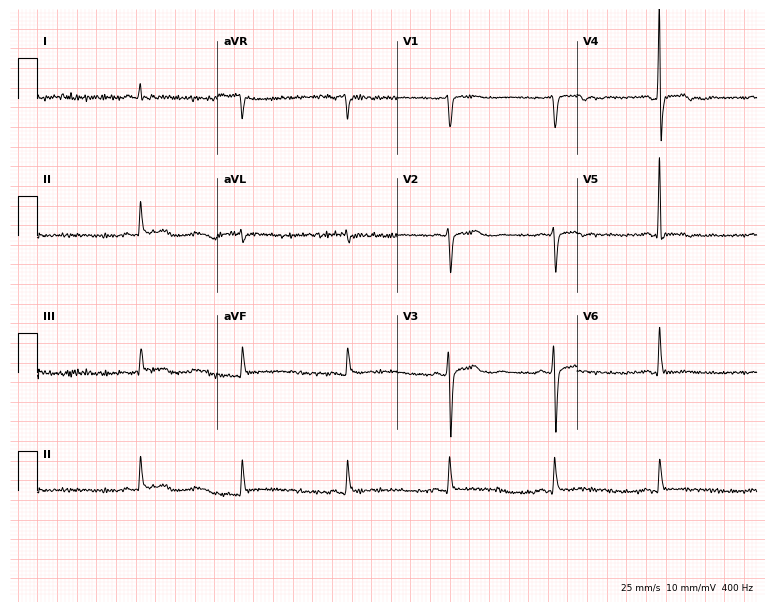
12-lead ECG (7.3-second recording at 400 Hz) from a 61-year-old man. Screened for six findings — first-degree AV block, right bundle branch block, left bundle branch block, sinus bradycardia, atrial fibrillation, sinus tachycardia — none is recorded. Other findings, if any, are not listed.